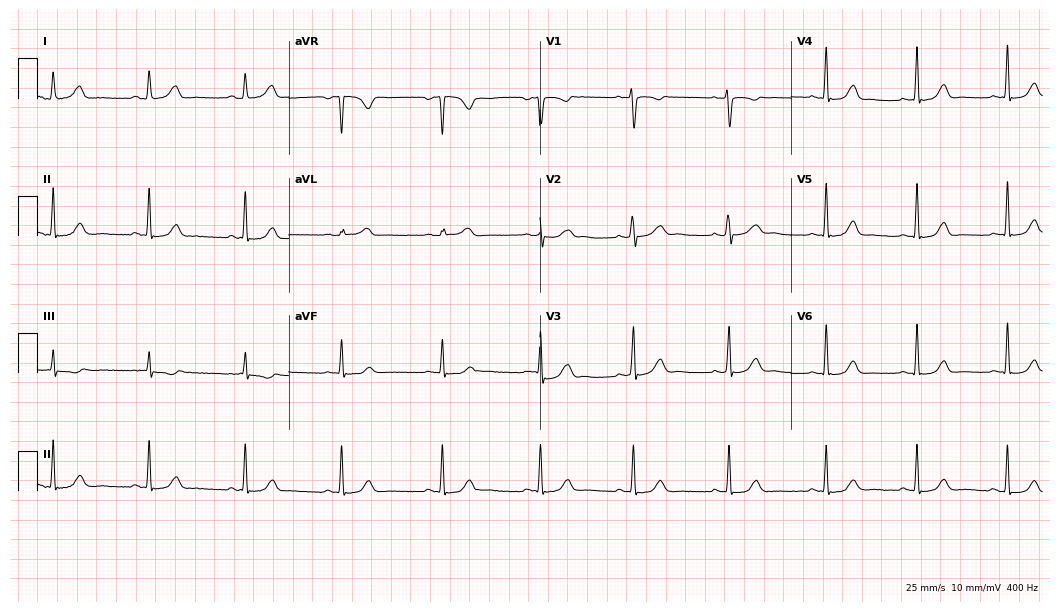
12-lead ECG from a 30-year-old female. Recorded interpretation: within normal limits.